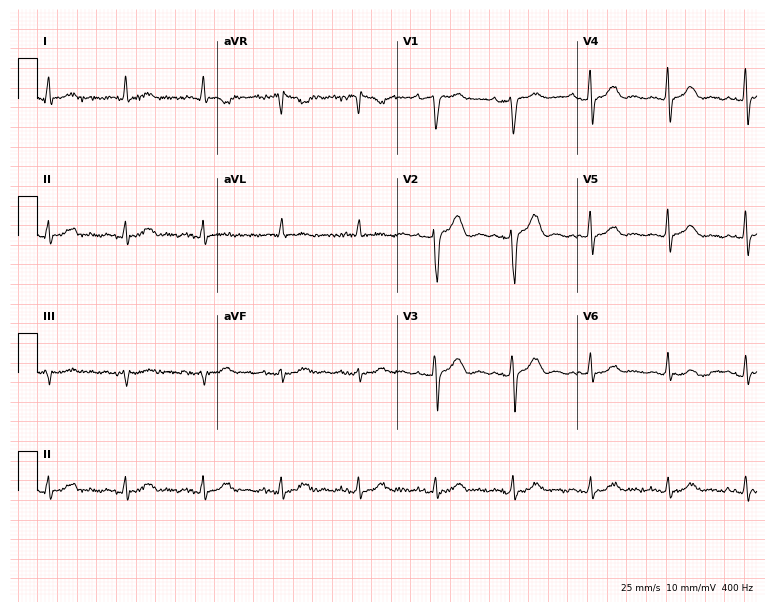
12-lead ECG (7.3-second recording at 400 Hz) from an 81-year-old male patient. Labelled as a normal ECG.